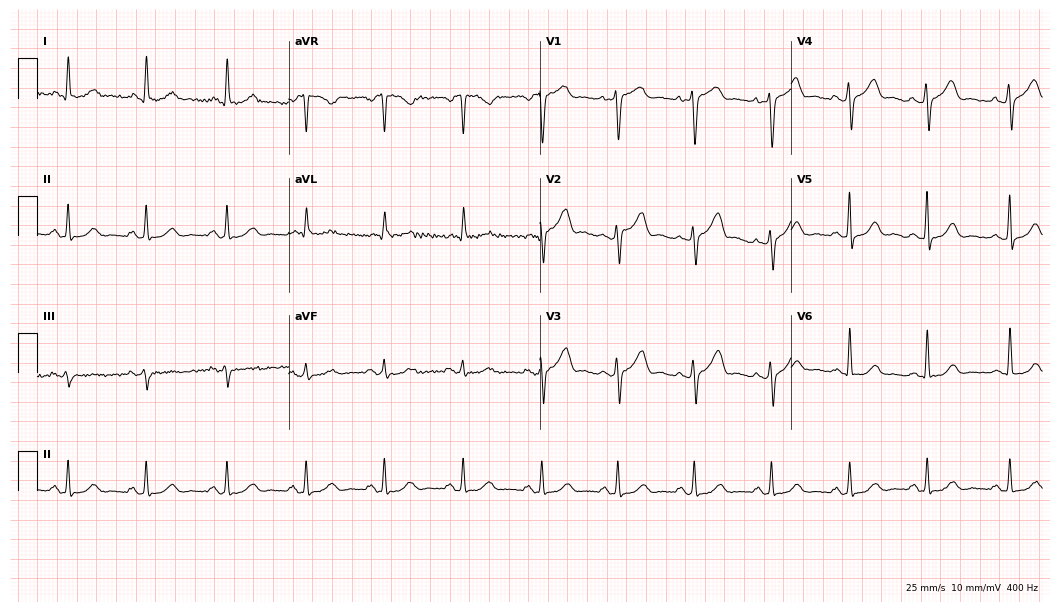
12-lead ECG from a female patient, 53 years old. Labelled as a normal ECG.